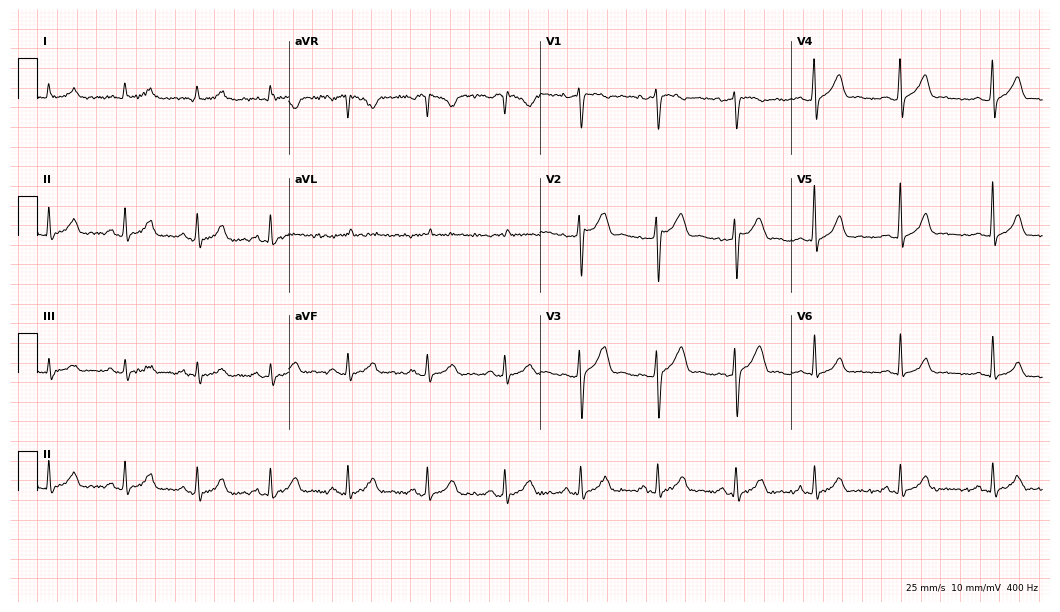
Standard 12-lead ECG recorded from a 29-year-old male (10.2-second recording at 400 Hz). Read as a normal ECG.